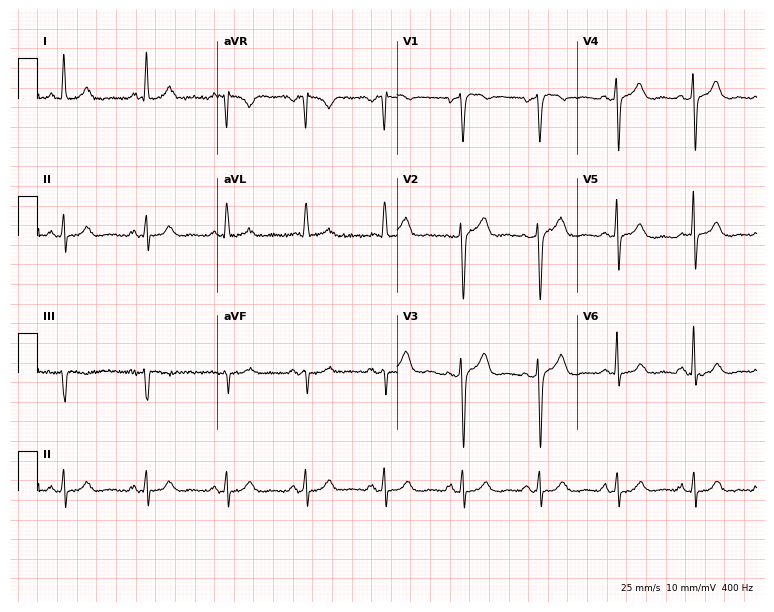
12-lead ECG from a 60-year-old female (7.3-second recording at 400 Hz). Recorded interpretation: within normal limits.